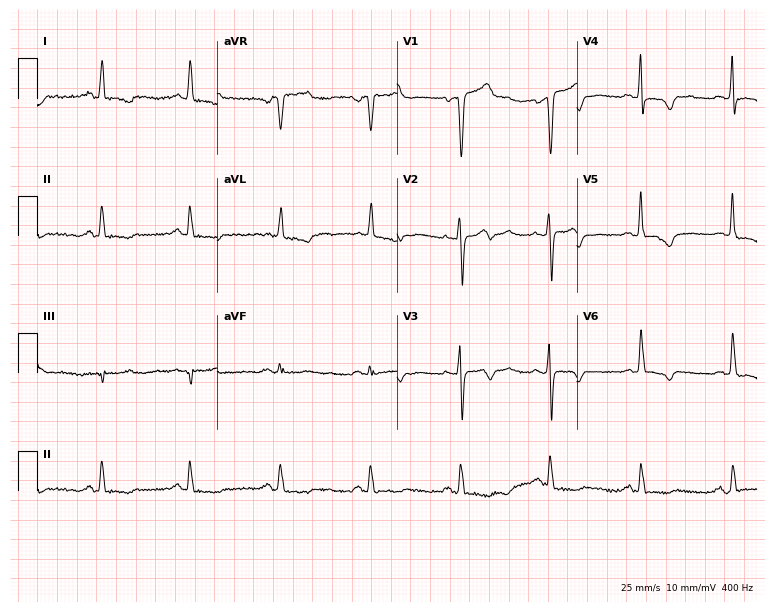
Standard 12-lead ECG recorded from a woman, 72 years old. None of these six findings is recorded: first-degree AV block, right bundle branch block, left bundle branch block, sinus bradycardia, atrial fibrillation, sinus tachycardia.